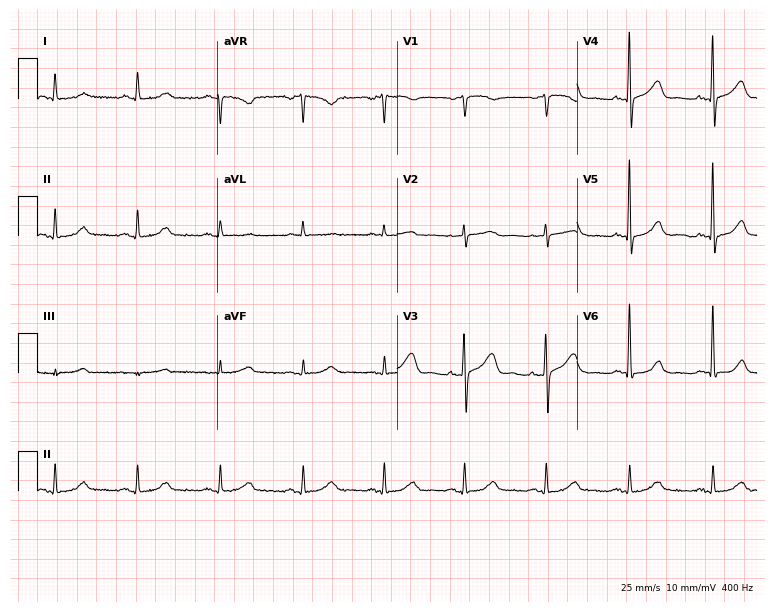
Electrocardiogram, a woman, 75 years old. Of the six screened findings (first-degree AV block, right bundle branch block, left bundle branch block, sinus bradycardia, atrial fibrillation, sinus tachycardia), none is recorded.